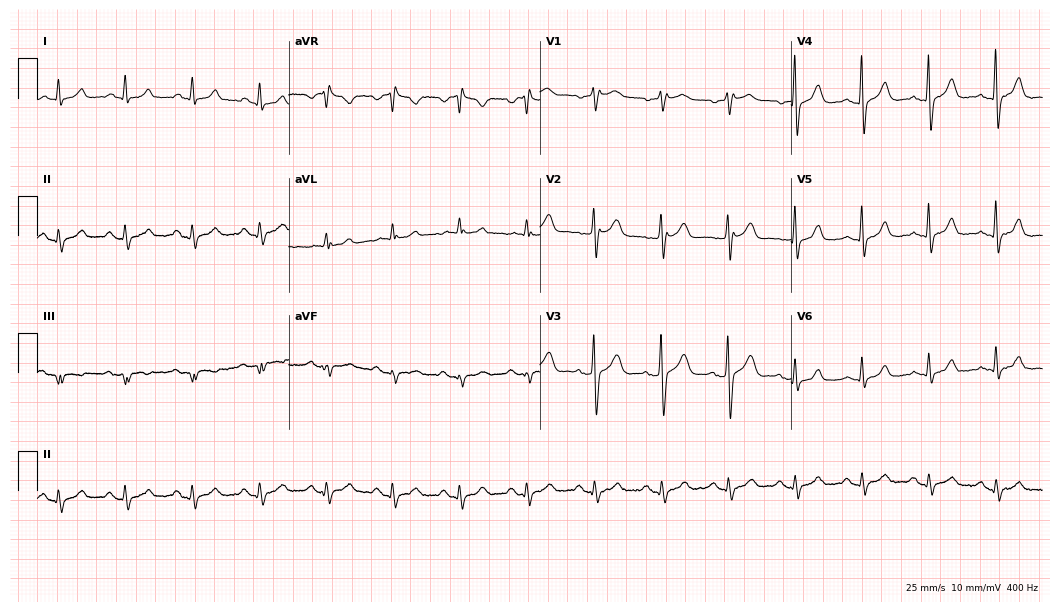
Electrocardiogram (10.2-second recording at 400 Hz), a male patient, 62 years old. Overall reading on record: normal ECG.